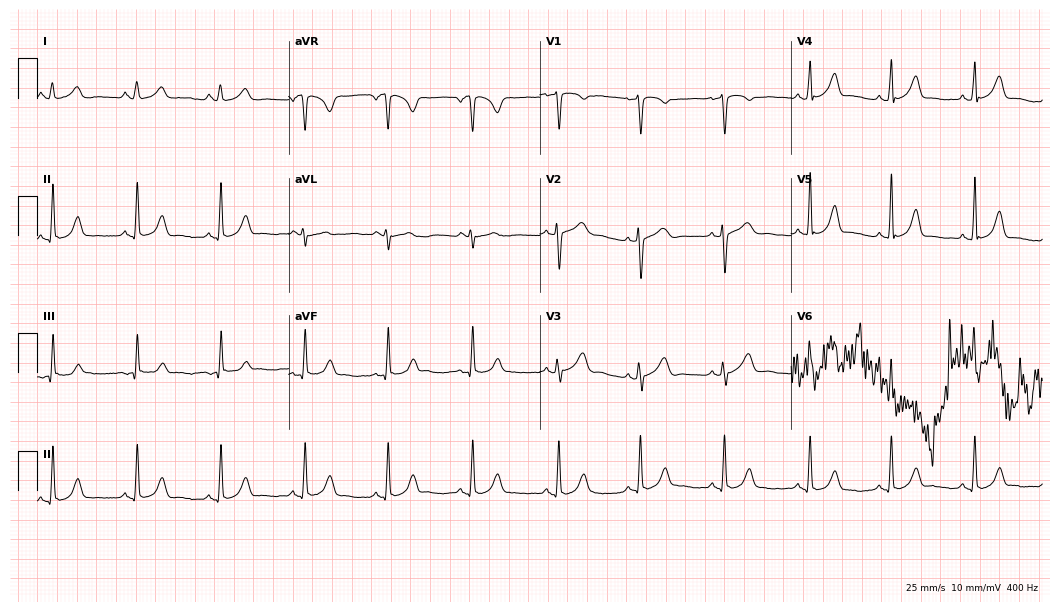
Resting 12-lead electrocardiogram (10.2-second recording at 400 Hz). Patient: a 17-year-old female. Read as a normal ECG.